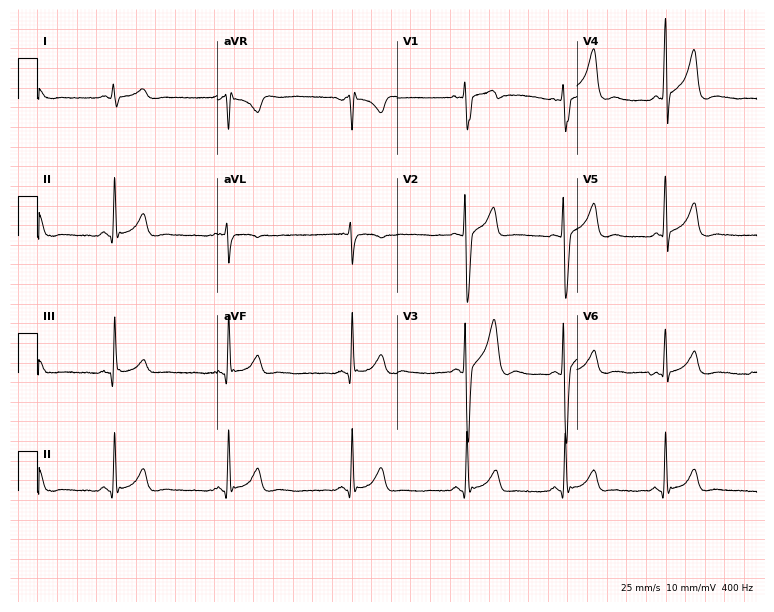
ECG — a 24-year-old male. Labelled as a normal ECG.